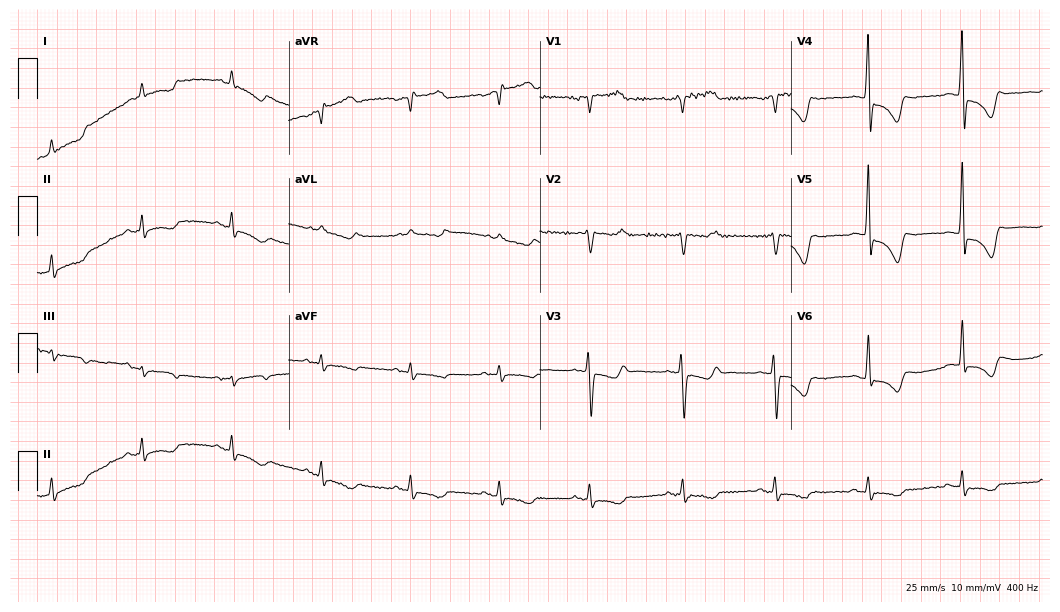
Electrocardiogram (10.2-second recording at 400 Hz), an 84-year-old man. Of the six screened findings (first-degree AV block, right bundle branch block (RBBB), left bundle branch block (LBBB), sinus bradycardia, atrial fibrillation (AF), sinus tachycardia), none is recorded. Findings outside these six are not listed.